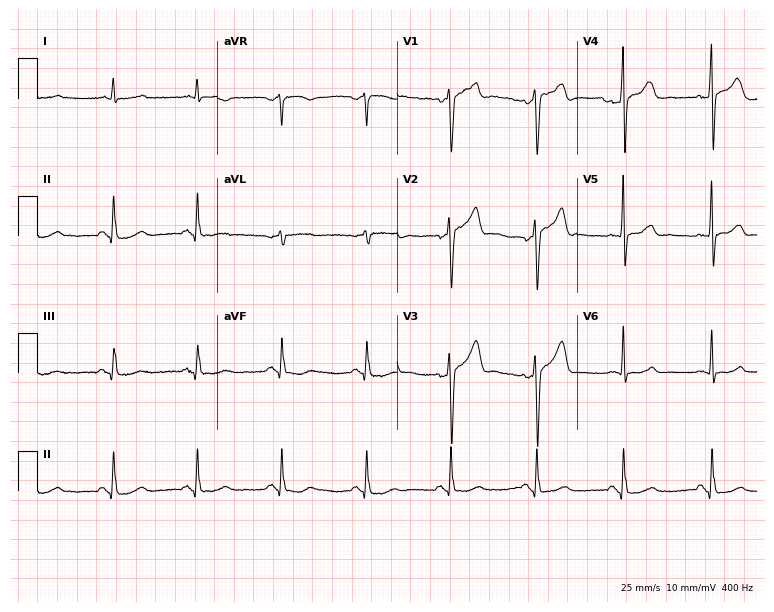
Electrocardiogram (7.3-second recording at 400 Hz), a 69-year-old male. Overall reading on record: normal ECG.